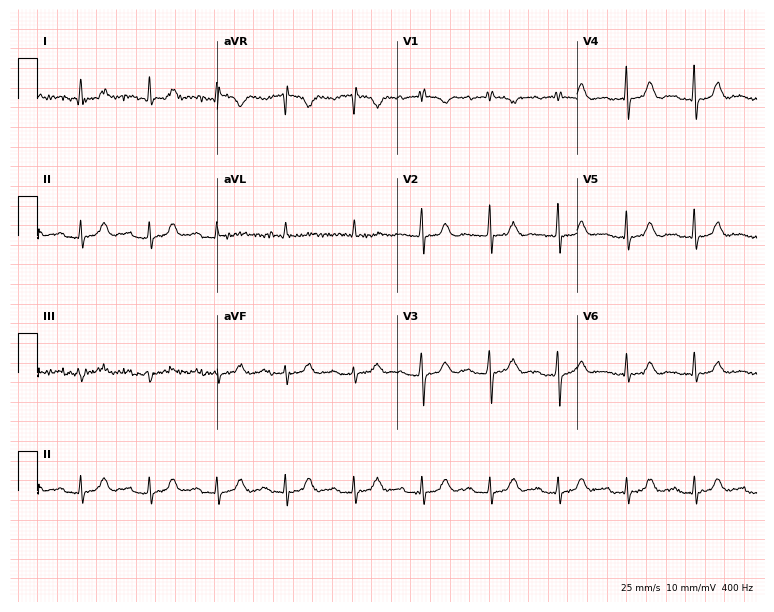
ECG (7.3-second recording at 400 Hz) — a woman, 85 years old. Screened for six findings — first-degree AV block, right bundle branch block, left bundle branch block, sinus bradycardia, atrial fibrillation, sinus tachycardia — none is recorded. Findings outside these six are not listed.